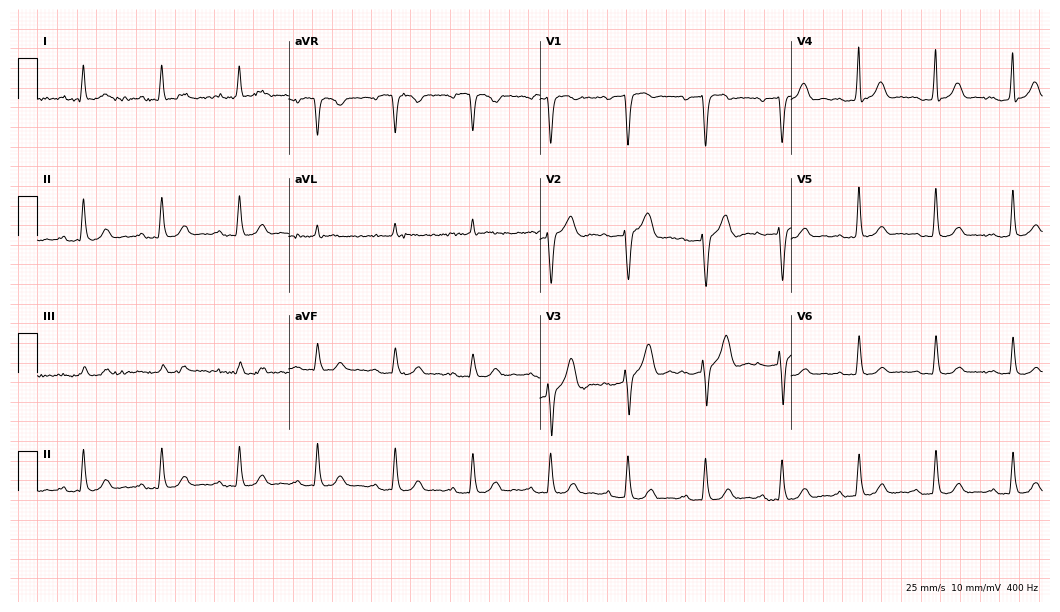
Electrocardiogram, a 63-year-old man. Overall reading on record: normal ECG.